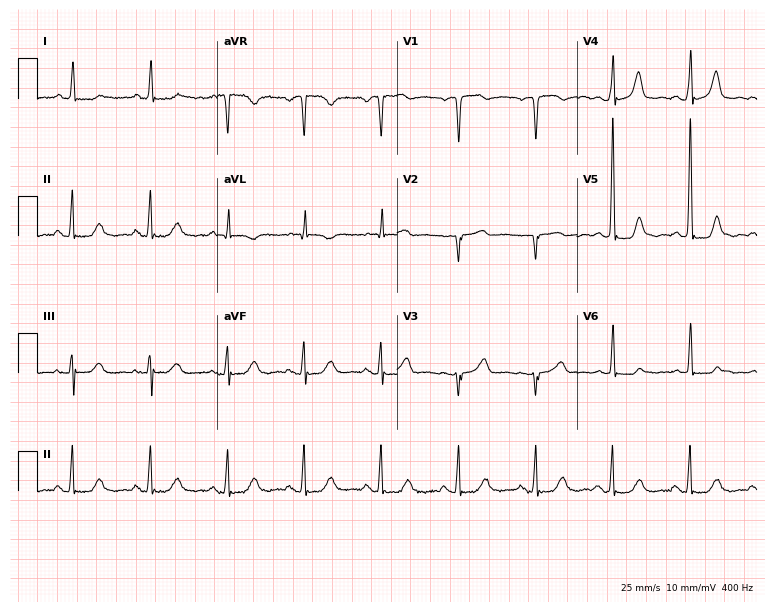
Resting 12-lead electrocardiogram. Patient: a woman, 80 years old. None of these six findings is recorded: first-degree AV block, right bundle branch block, left bundle branch block, sinus bradycardia, atrial fibrillation, sinus tachycardia.